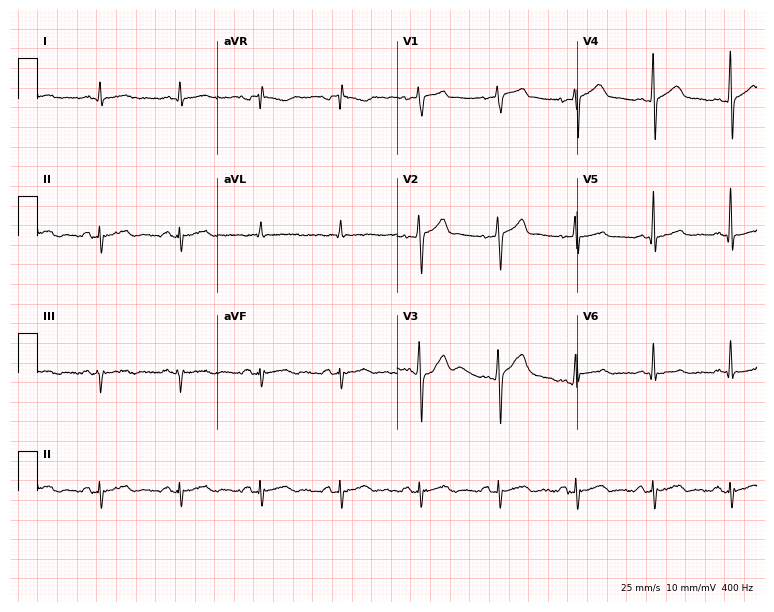
Resting 12-lead electrocardiogram. Patient: a male, 67 years old. None of these six findings is recorded: first-degree AV block, right bundle branch block, left bundle branch block, sinus bradycardia, atrial fibrillation, sinus tachycardia.